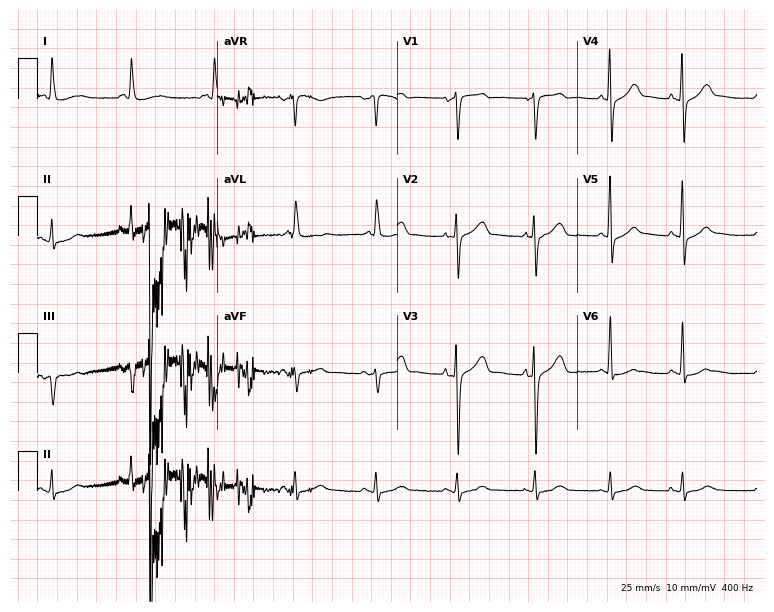
Standard 12-lead ECG recorded from a female patient, 79 years old (7.3-second recording at 400 Hz). None of these six findings is recorded: first-degree AV block, right bundle branch block, left bundle branch block, sinus bradycardia, atrial fibrillation, sinus tachycardia. Findings outside these six are not listed.